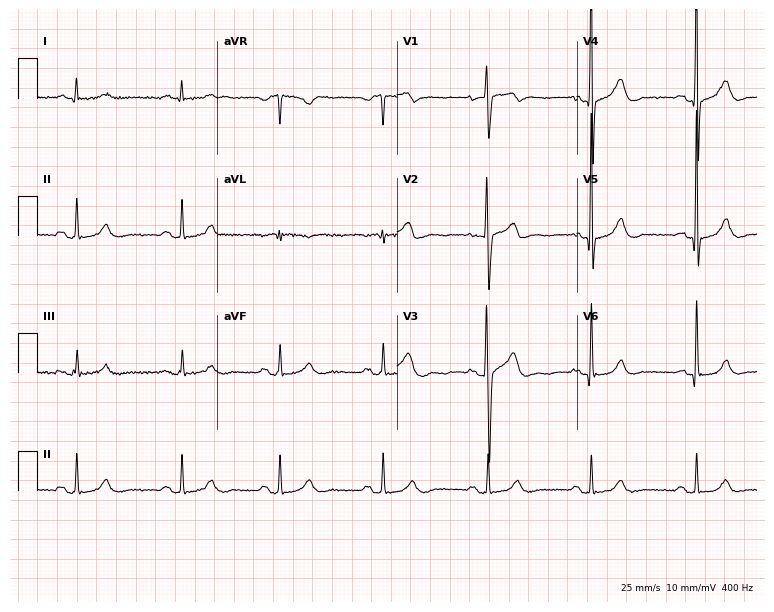
12-lead ECG (7.3-second recording at 400 Hz) from a male patient, 35 years old. Labelled as a normal ECG.